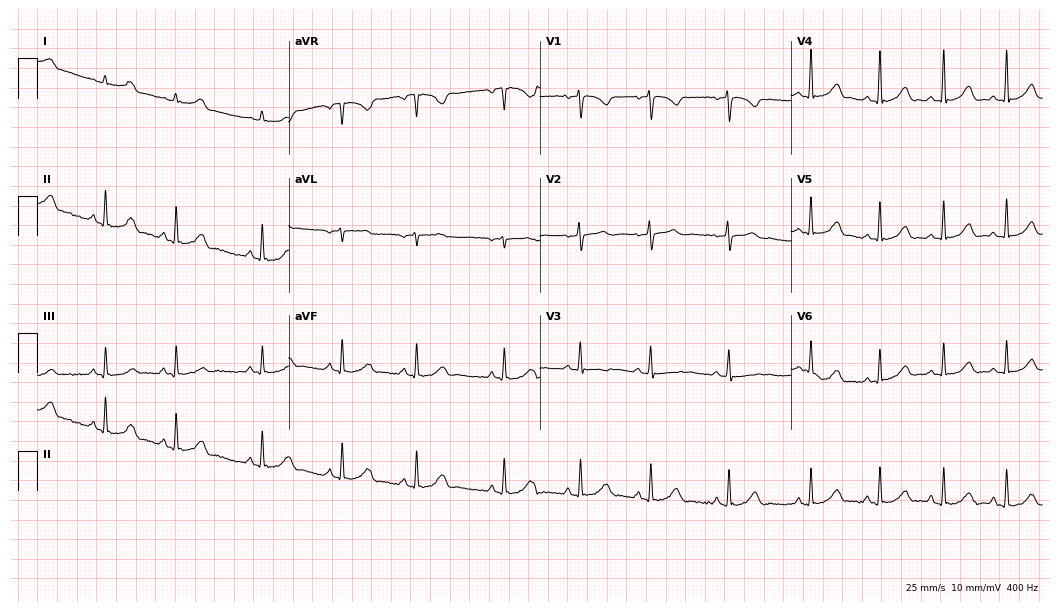
ECG — a 17-year-old female. Screened for six findings — first-degree AV block, right bundle branch block (RBBB), left bundle branch block (LBBB), sinus bradycardia, atrial fibrillation (AF), sinus tachycardia — none is recorded.